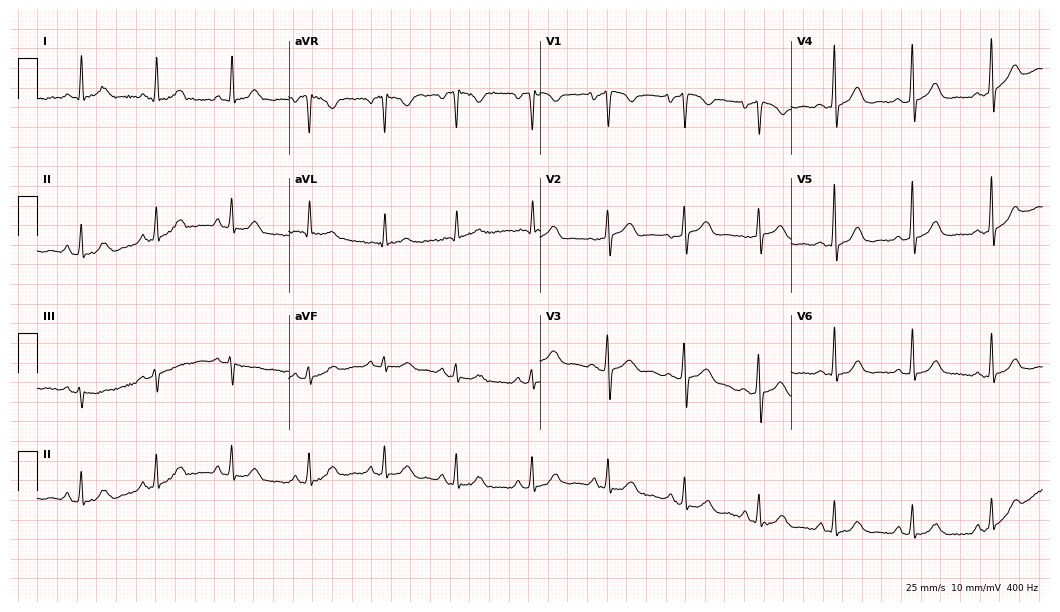
12-lead ECG from a woman, 40 years old. Recorded interpretation: within normal limits.